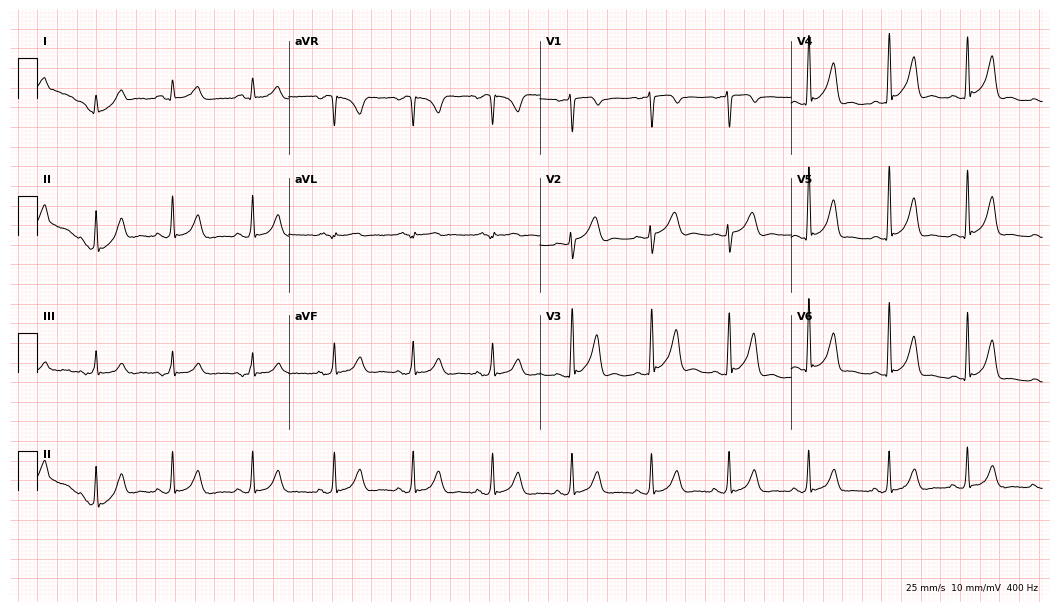
ECG — a 43-year-old male. Labelled as a normal ECG.